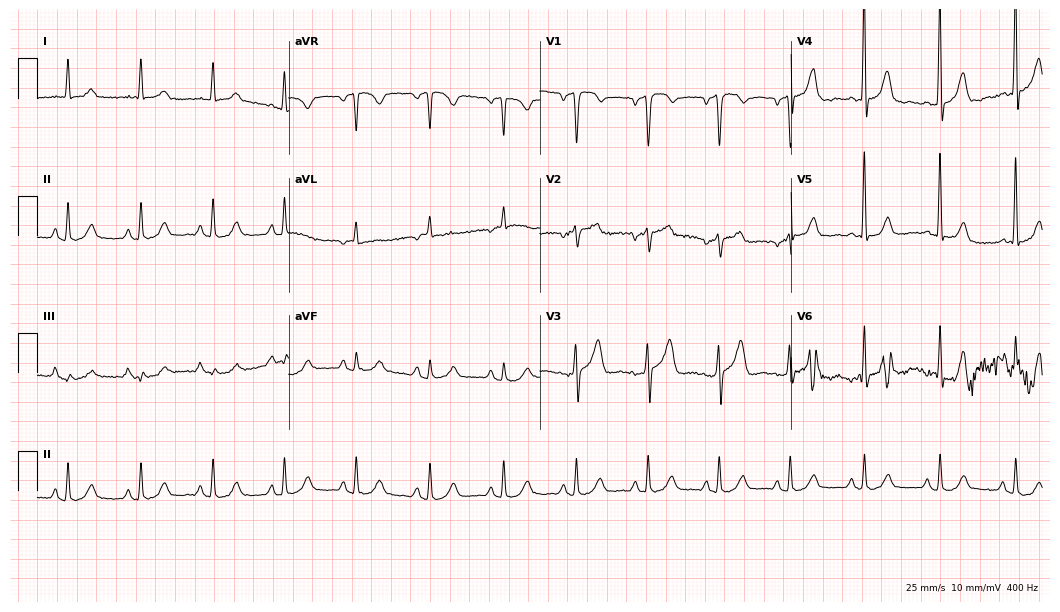
Resting 12-lead electrocardiogram. Patient: a 35-year-old man. None of these six findings is recorded: first-degree AV block, right bundle branch block (RBBB), left bundle branch block (LBBB), sinus bradycardia, atrial fibrillation (AF), sinus tachycardia. Findings outside these six are not listed.